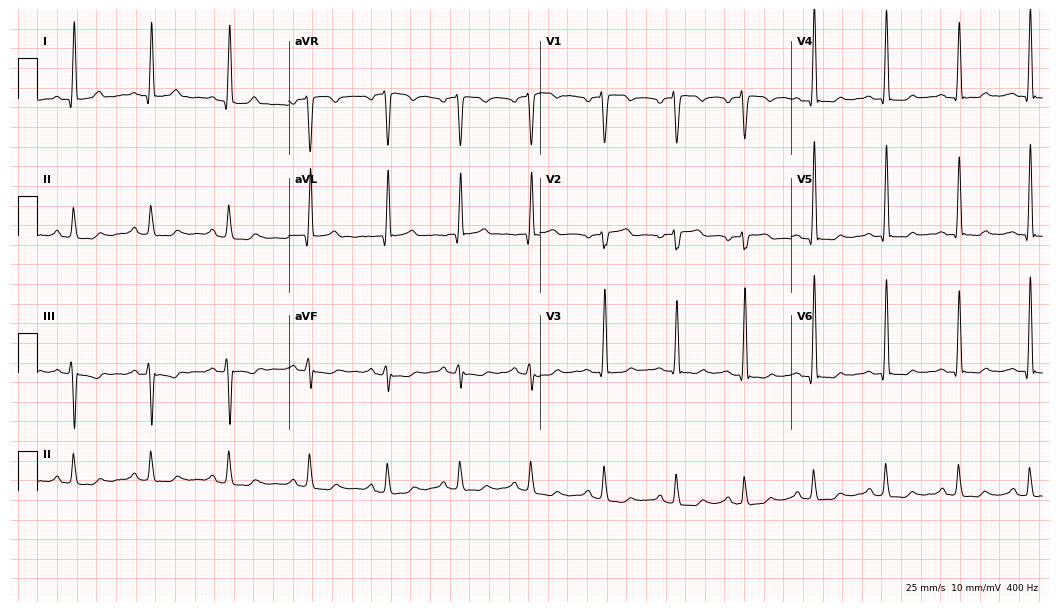
12-lead ECG from a male patient, 43 years old. Screened for six findings — first-degree AV block, right bundle branch block, left bundle branch block, sinus bradycardia, atrial fibrillation, sinus tachycardia — none is recorded. Only these six findings were labelled.